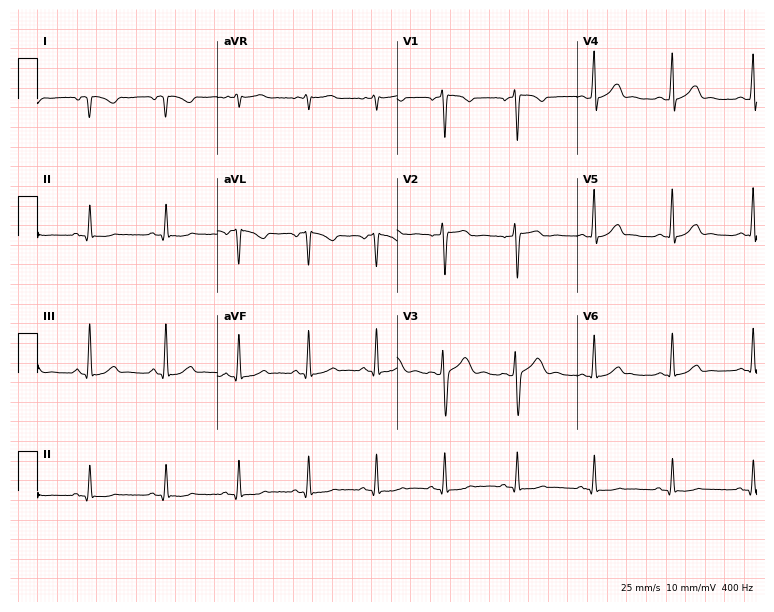
ECG — a 28-year-old woman. Screened for six findings — first-degree AV block, right bundle branch block, left bundle branch block, sinus bradycardia, atrial fibrillation, sinus tachycardia — none is recorded.